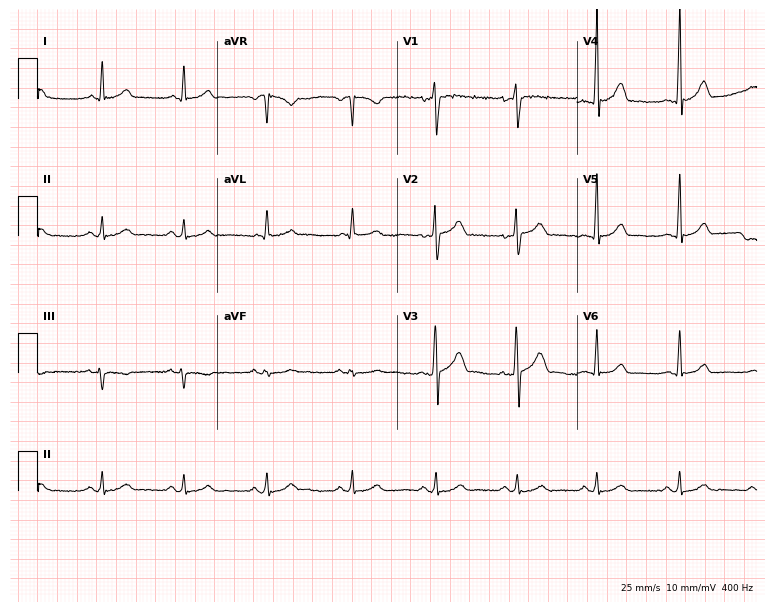
Resting 12-lead electrocardiogram (7.3-second recording at 400 Hz). Patient: a 38-year-old male. None of these six findings is recorded: first-degree AV block, right bundle branch block, left bundle branch block, sinus bradycardia, atrial fibrillation, sinus tachycardia. Only these six findings were labelled.